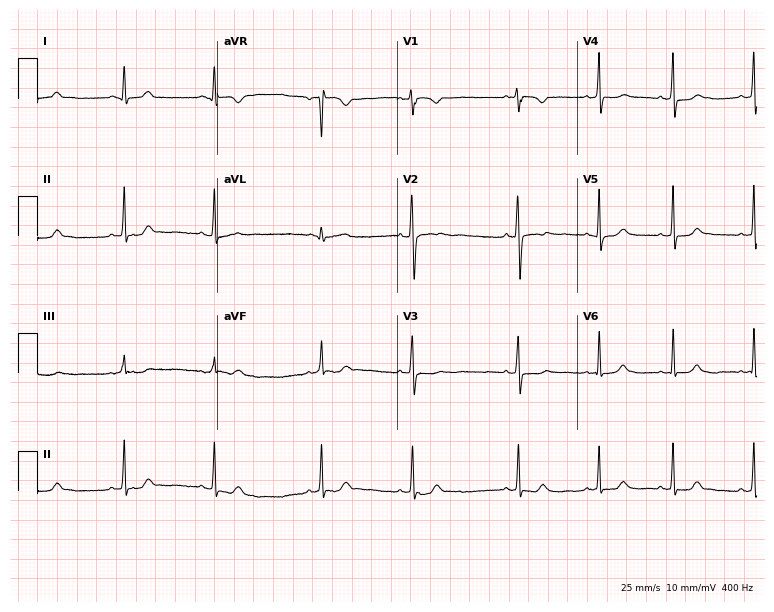
Electrocardiogram (7.3-second recording at 400 Hz), a 17-year-old female. Overall reading on record: normal ECG.